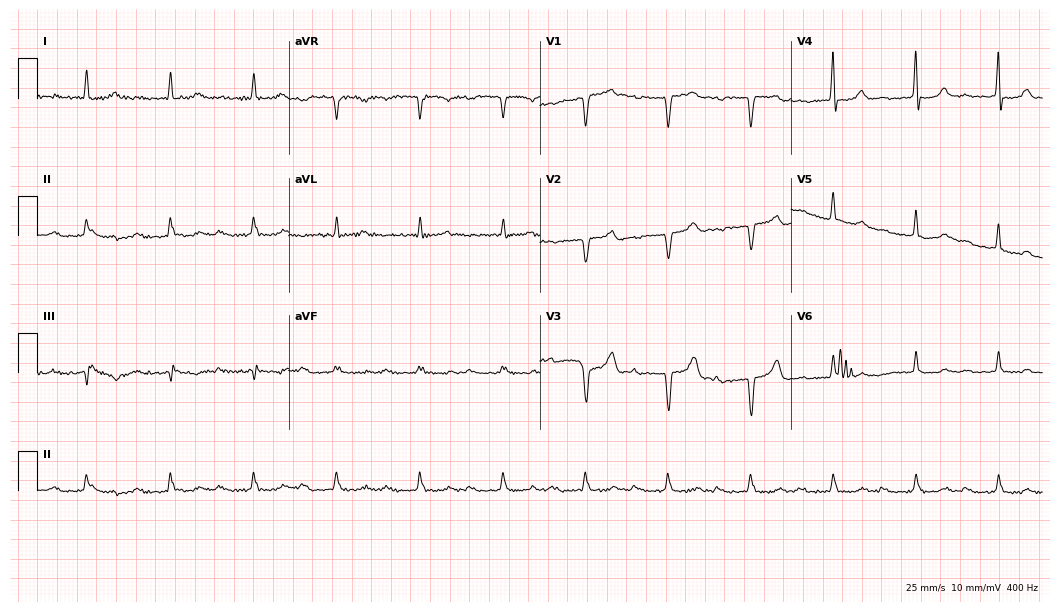
12-lead ECG from a 74-year-old man. No first-degree AV block, right bundle branch block (RBBB), left bundle branch block (LBBB), sinus bradycardia, atrial fibrillation (AF) or sinus tachycardia recorded for this tracing.